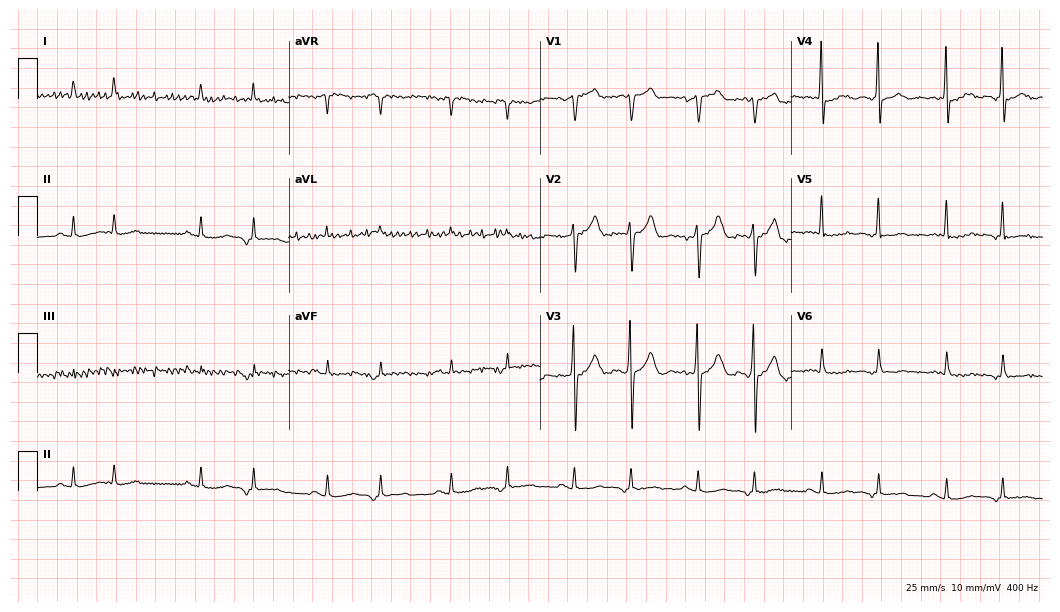
12-lead ECG from a man, 83 years old. No first-degree AV block, right bundle branch block (RBBB), left bundle branch block (LBBB), sinus bradycardia, atrial fibrillation (AF) or sinus tachycardia recorded for this tracing. Findings outside these six are not listed.